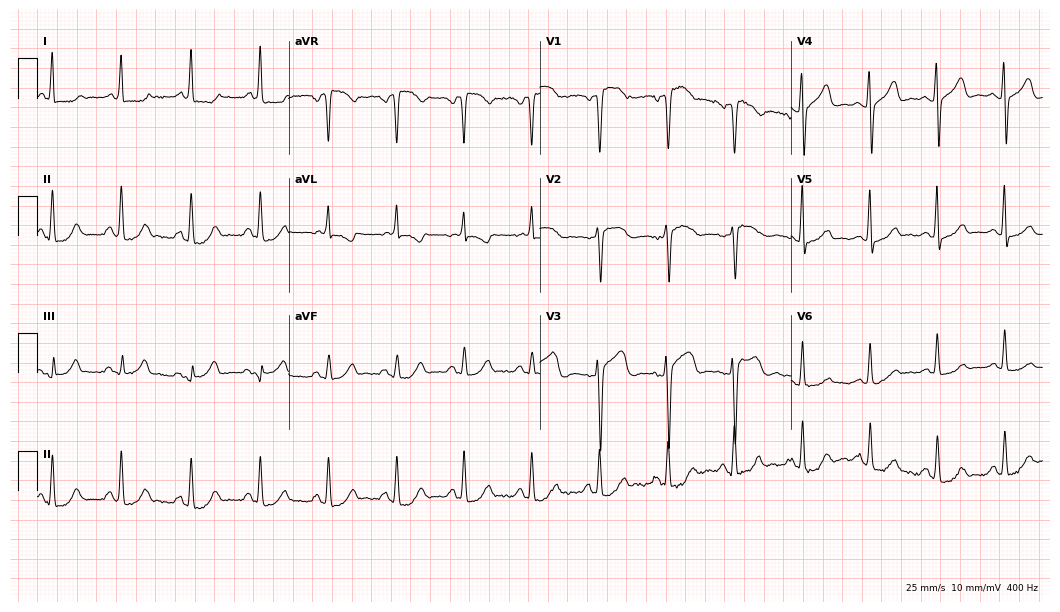
12-lead ECG from a woman, 46 years old. No first-degree AV block, right bundle branch block, left bundle branch block, sinus bradycardia, atrial fibrillation or sinus tachycardia recorded for this tracing.